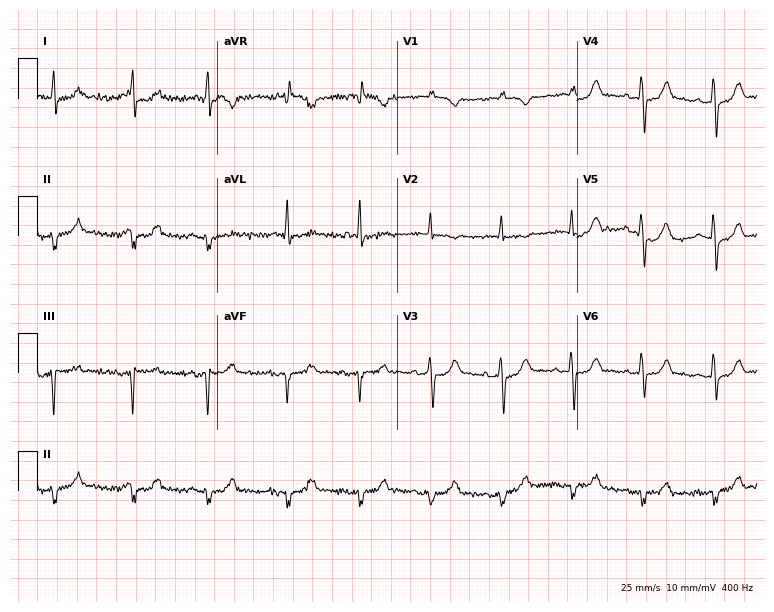
12-lead ECG from a 79-year-old man. Screened for six findings — first-degree AV block, right bundle branch block, left bundle branch block, sinus bradycardia, atrial fibrillation, sinus tachycardia — none is recorded.